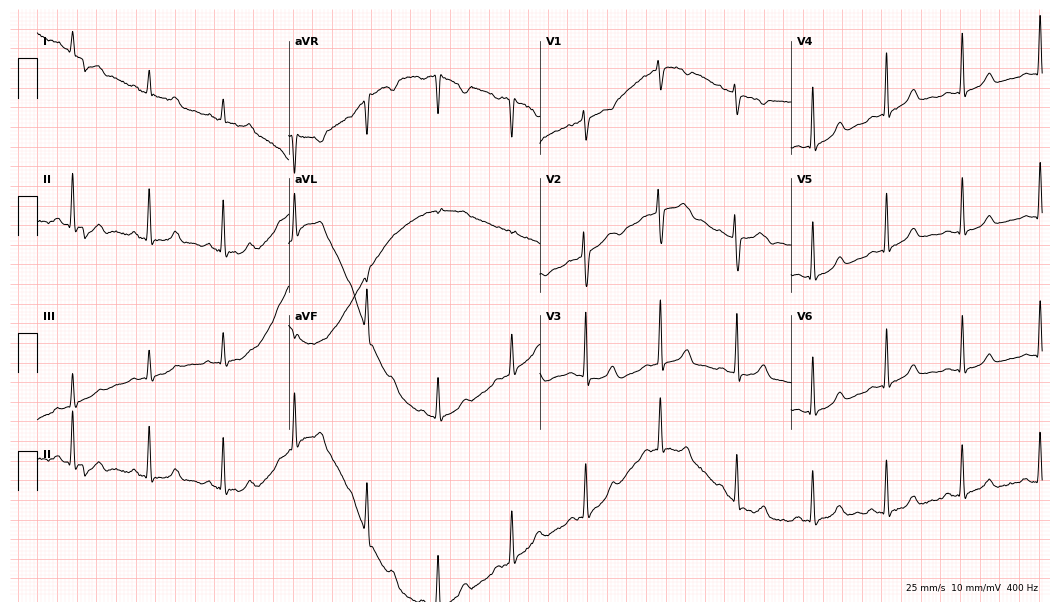
Electrocardiogram (10.2-second recording at 400 Hz), a 31-year-old female. Overall reading on record: normal ECG.